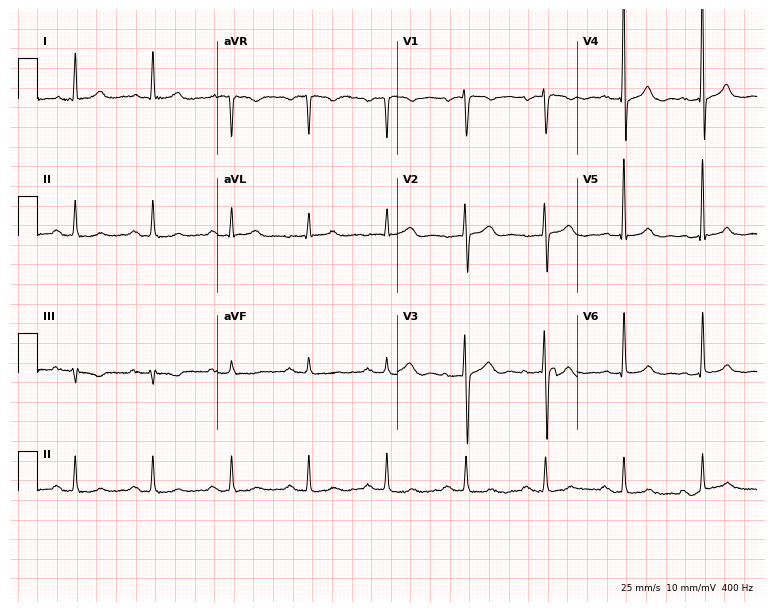
Resting 12-lead electrocardiogram. Patient: a 73-year-old female. None of these six findings is recorded: first-degree AV block, right bundle branch block, left bundle branch block, sinus bradycardia, atrial fibrillation, sinus tachycardia. Findings outside these six are not listed.